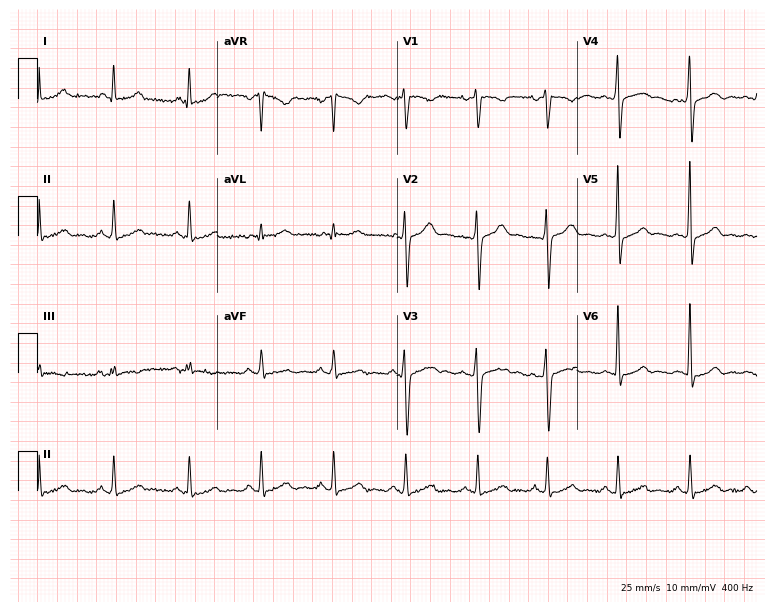
12-lead ECG from a male, 29 years old. Labelled as a normal ECG.